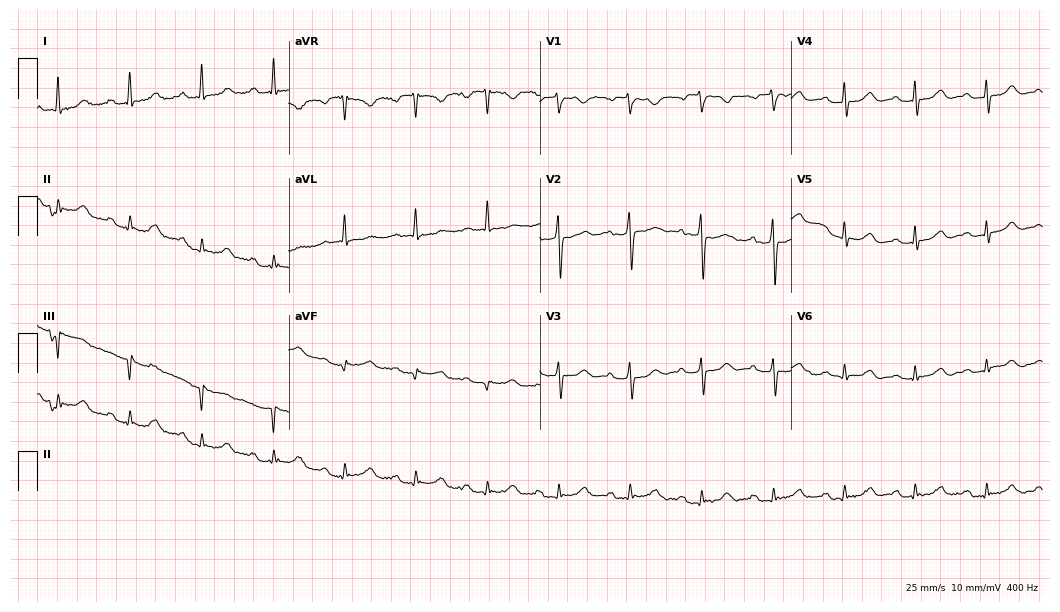
Standard 12-lead ECG recorded from a female patient, 76 years old. The tracing shows first-degree AV block.